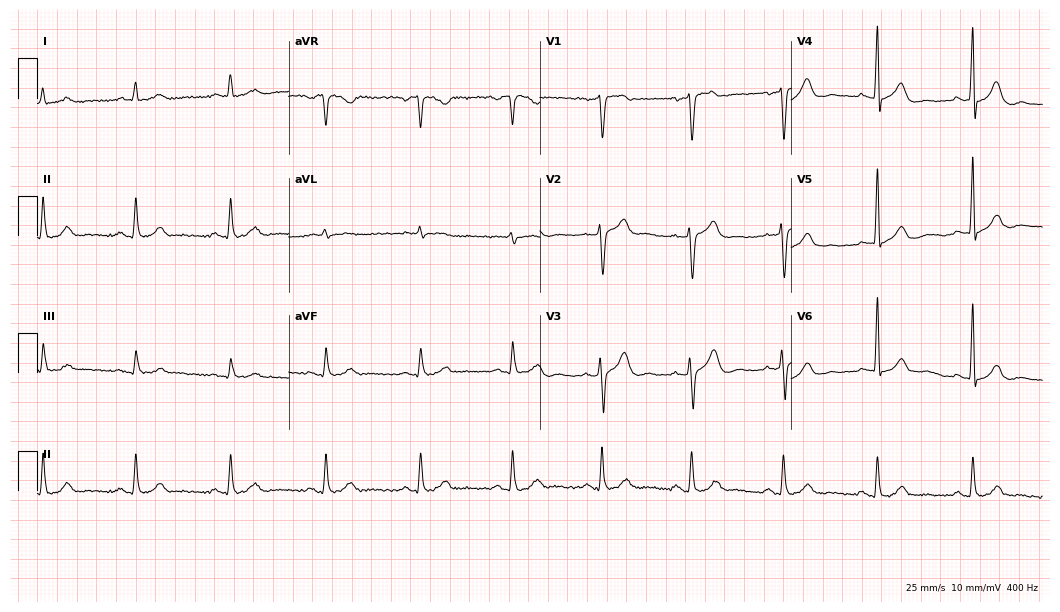
Electrocardiogram, a 58-year-old man. Of the six screened findings (first-degree AV block, right bundle branch block (RBBB), left bundle branch block (LBBB), sinus bradycardia, atrial fibrillation (AF), sinus tachycardia), none is recorded.